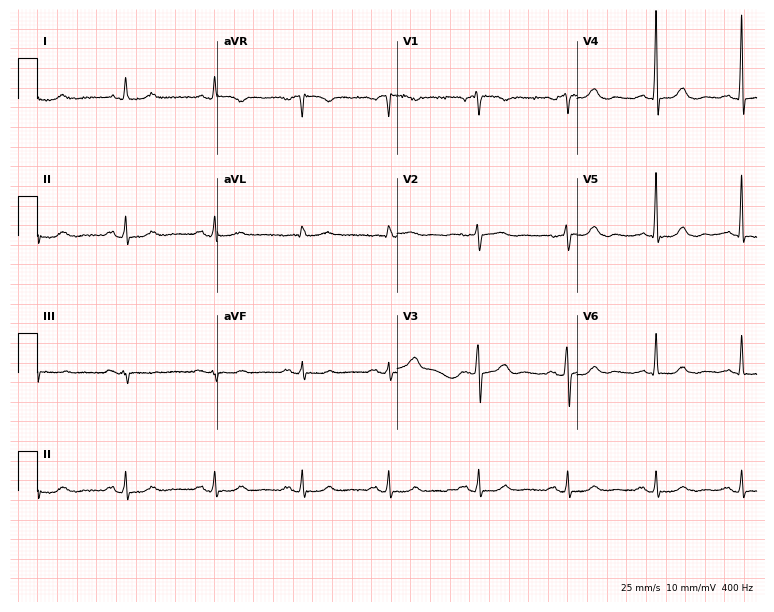
Electrocardiogram, an 84-year-old male patient. Overall reading on record: normal ECG.